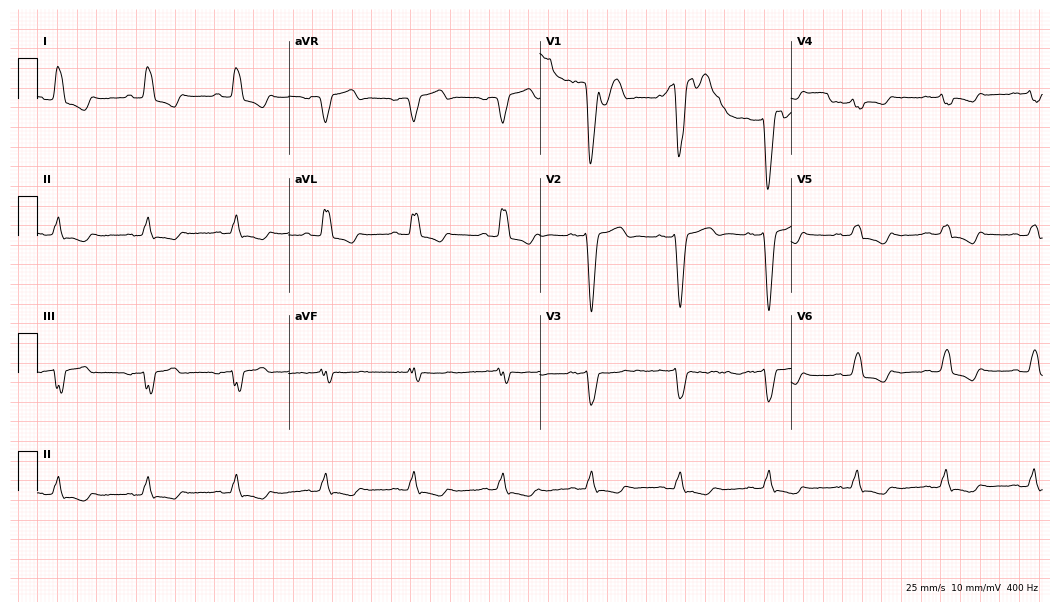
Standard 12-lead ECG recorded from a male patient, 65 years old. The tracing shows left bundle branch block.